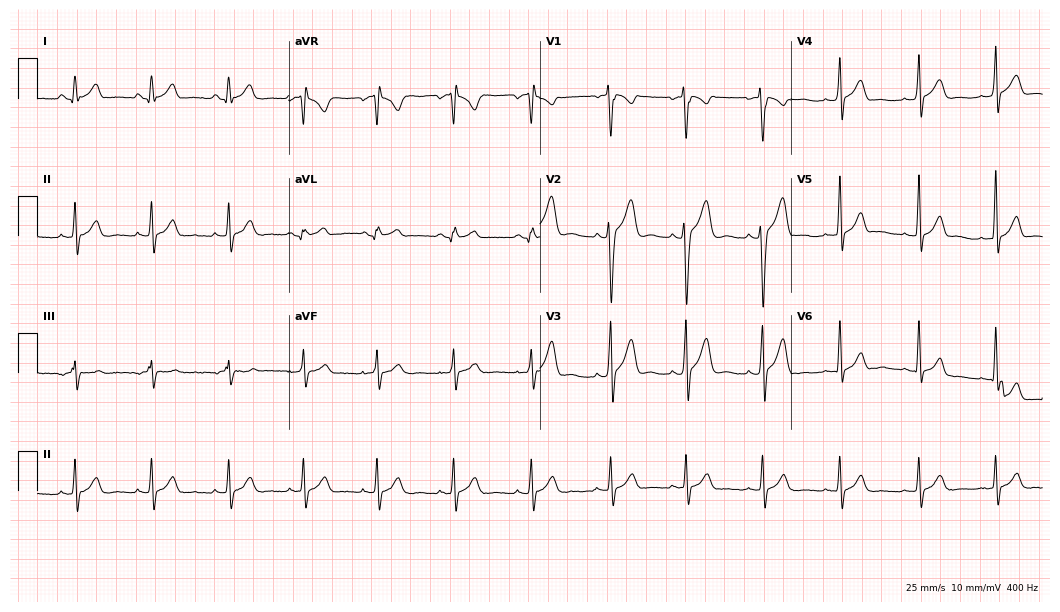
Electrocardiogram (10.2-second recording at 400 Hz), a male patient, 24 years old. Overall reading on record: normal ECG.